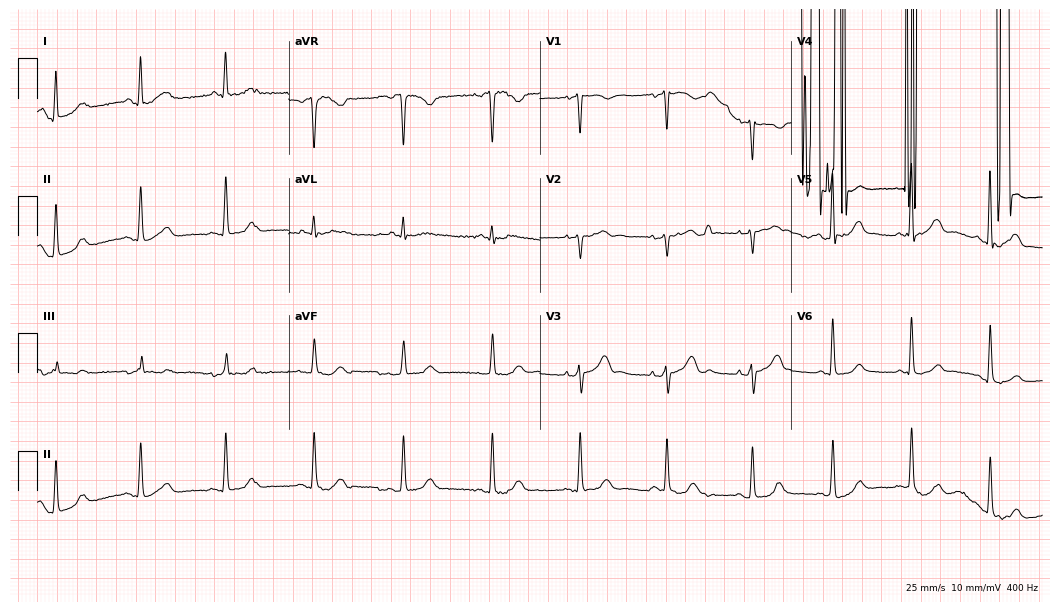
Resting 12-lead electrocardiogram. Patient: a female, 73 years old. None of these six findings is recorded: first-degree AV block, right bundle branch block (RBBB), left bundle branch block (LBBB), sinus bradycardia, atrial fibrillation (AF), sinus tachycardia. Other findings, if any, are not listed.